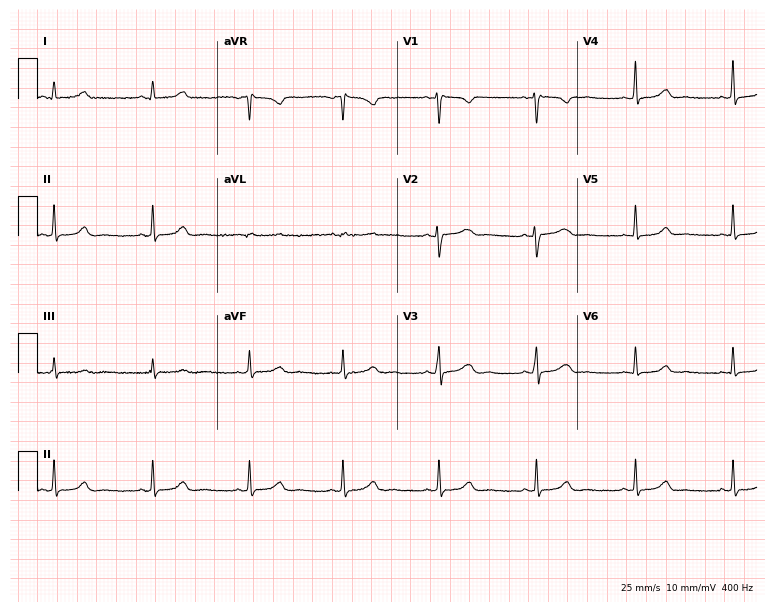
12-lead ECG from a female patient, 19 years old. Labelled as a normal ECG.